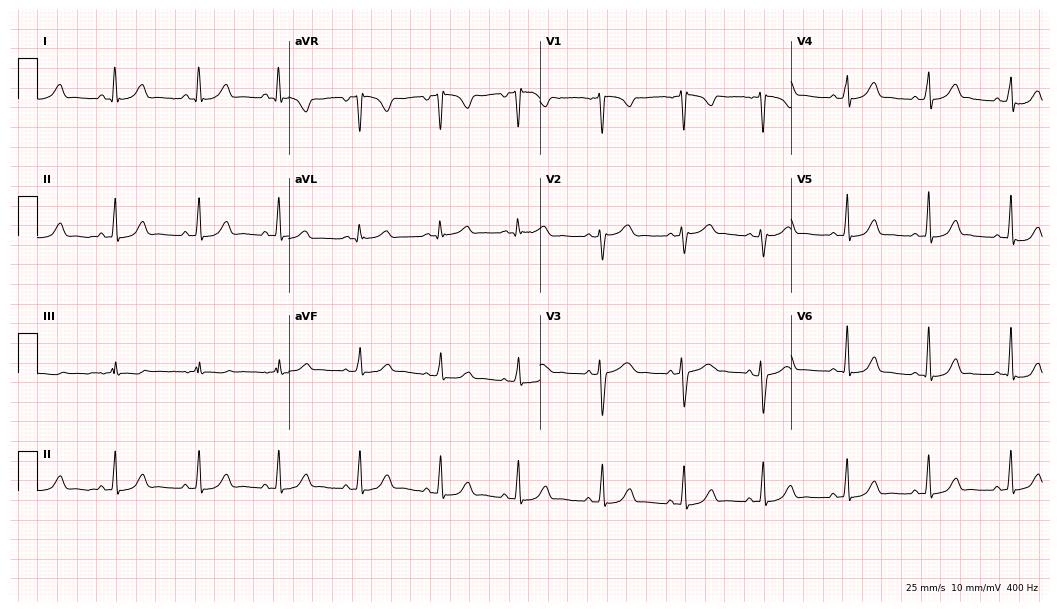
Standard 12-lead ECG recorded from a female, 27 years old. Read as a normal ECG.